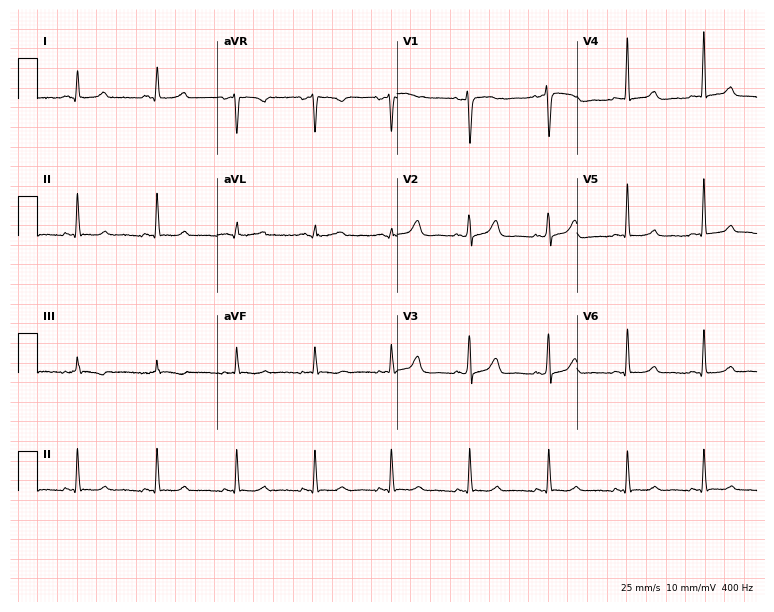
Resting 12-lead electrocardiogram. Patient: a 40-year-old female. None of these six findings is recorded: first-degree AV block, right bundle branch block, left bundle branch block, sinus bradycardia, atrial fibrillation, sinus tachycardia.